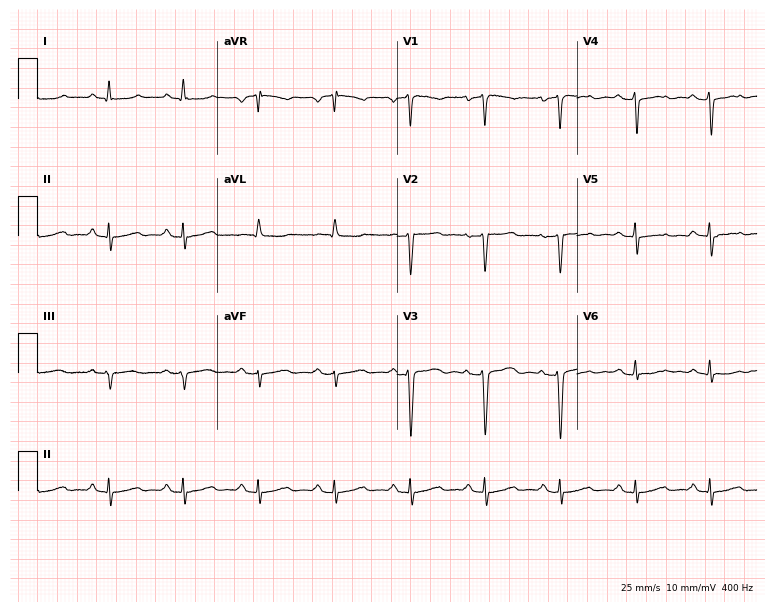
12-lead ECG (7.3-second recording at 400 Hz) from a female, 55 years old. Screened for six findings — first-degree AV block, right bundle branch block, left bundle branch block, sinus bradycardia, atrial fibrillation, sinus tachycardia — none is recorded.